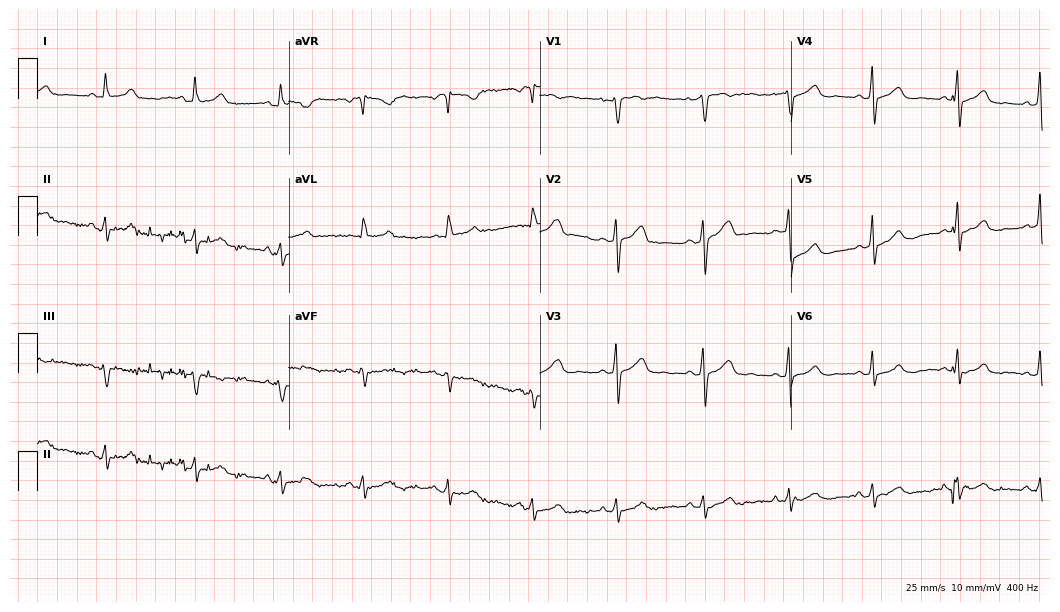
Electrocardiogram, a 39-year-old female patient. Overall reading on record: normal ECG.